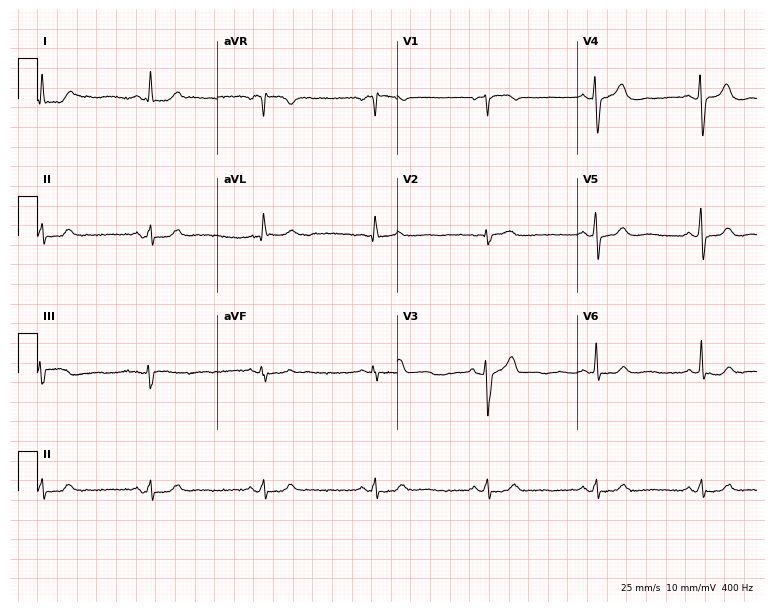
12-lead ECG (7.3-second recording at 400 Hz) from a male, 69 years old. Labelled as a normal ECG.